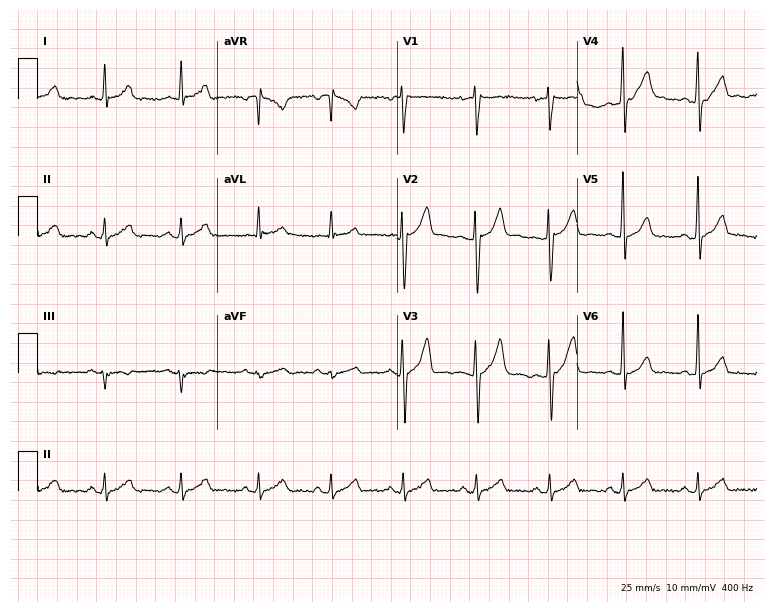
Resting 12-lead electrocardiogram. Patient: a 34-year-old man. Read as a normal ECG.